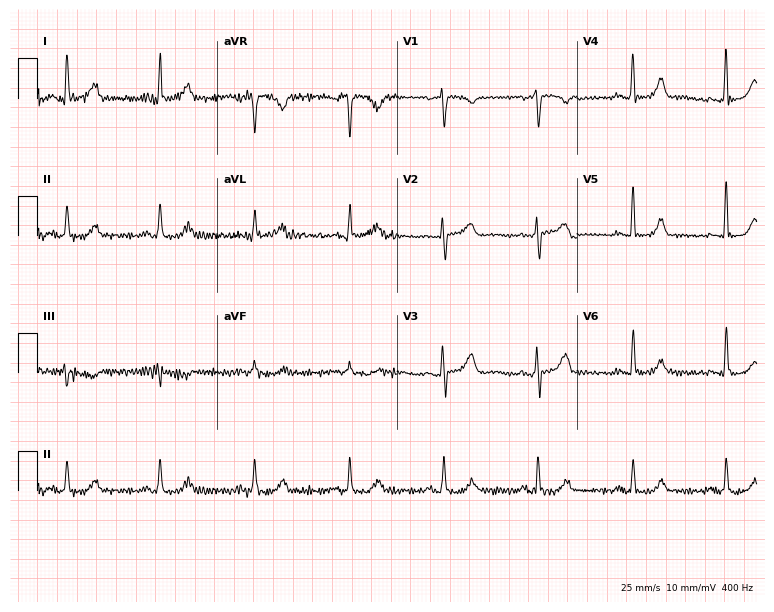
12-lead ECG (7.3-second recording at 400 Hz) from a 55-year-old female. Screened for six findings — first-degree AV block, right bundle branch block (RBBB), left bundle branch block (LBBB), sinus bradycardia, atrial fibrillation (AF), sinus tachycardia — none is recorded.